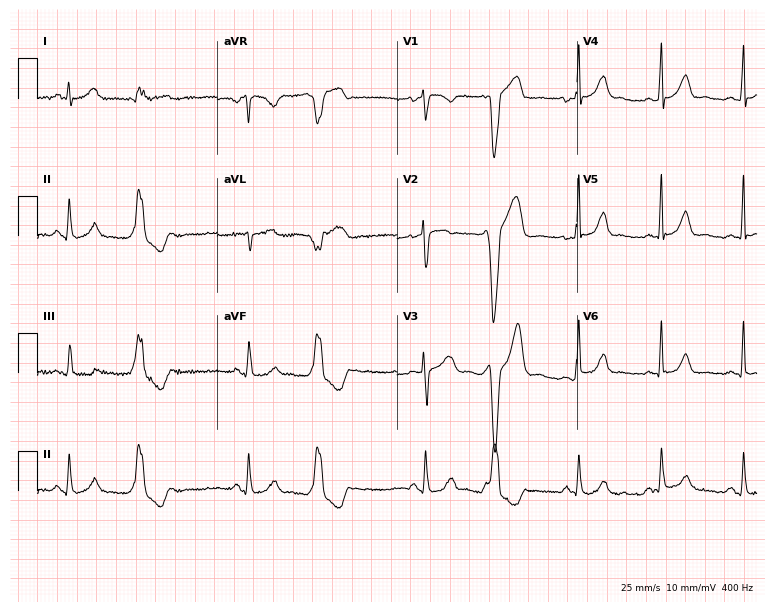
Resting 12-lead electrocardiogram. Patient: a 20-year-old woman. None of these six findings is recorded: first-degree AV block, right bundle branch block (RBBB), left bundle branch block (LBBB), sinus bradycardia, atrial fibrillation (AF), sinus tachycardia.